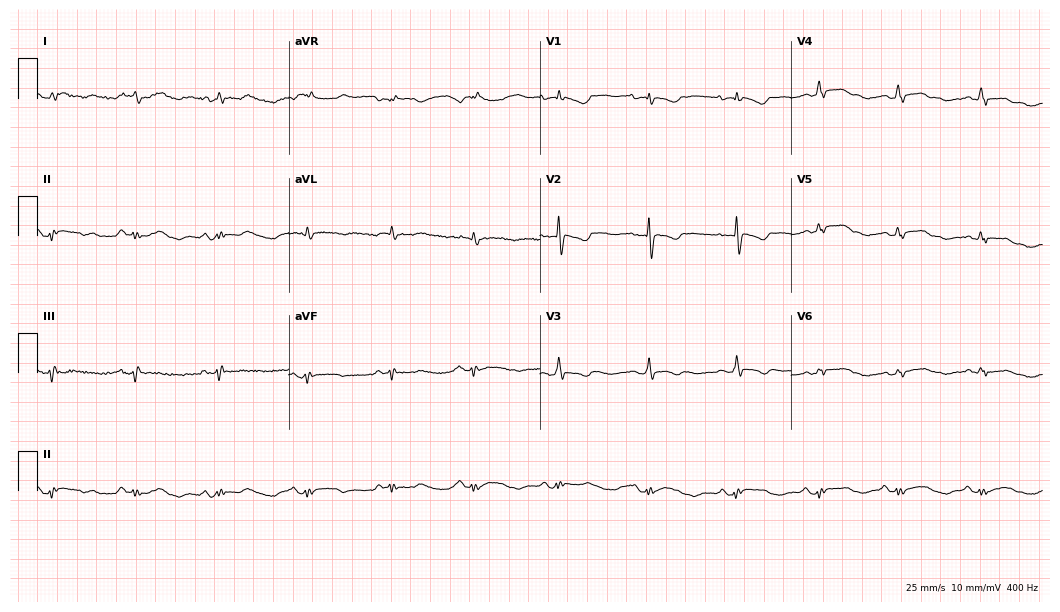
12-lead ECG from a female patient, 45 years old. No first-degree AV block, right bundle branch block, left bundle branch block, sinus bradycardia, atrial fibrillation or sinus tachycardia recorded for this tracing.